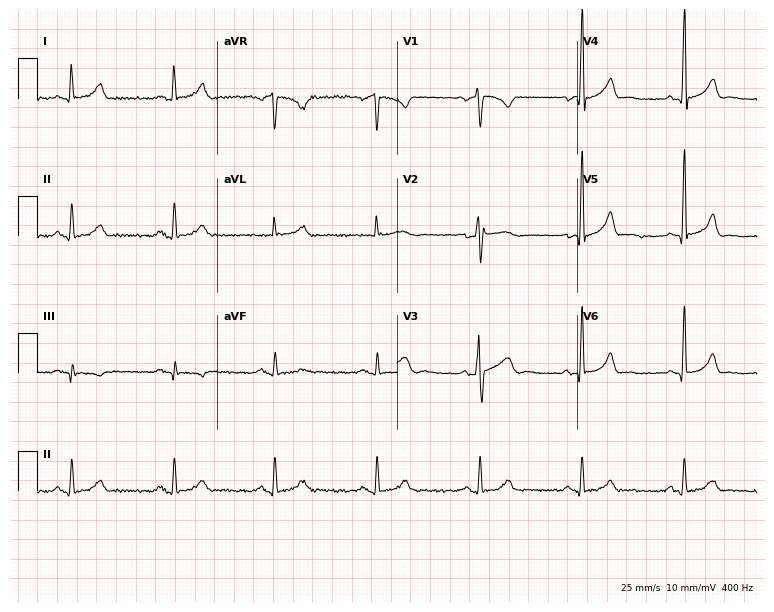
ECG (7.3-second recording at 400 Hz) — a male, 42 years old. Labelled as a normal ECG.